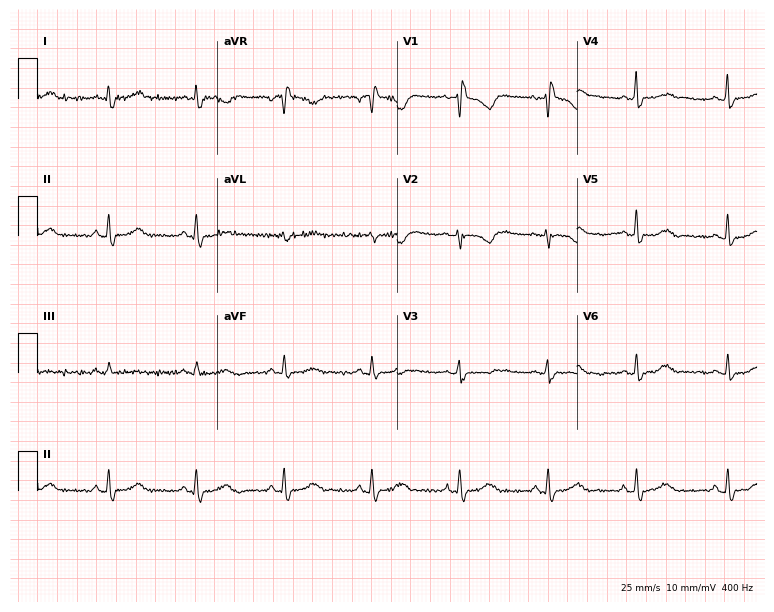
Standard 12-lead ECG recorded from a female, 40 years old. The tracing shows right bundle branch block.